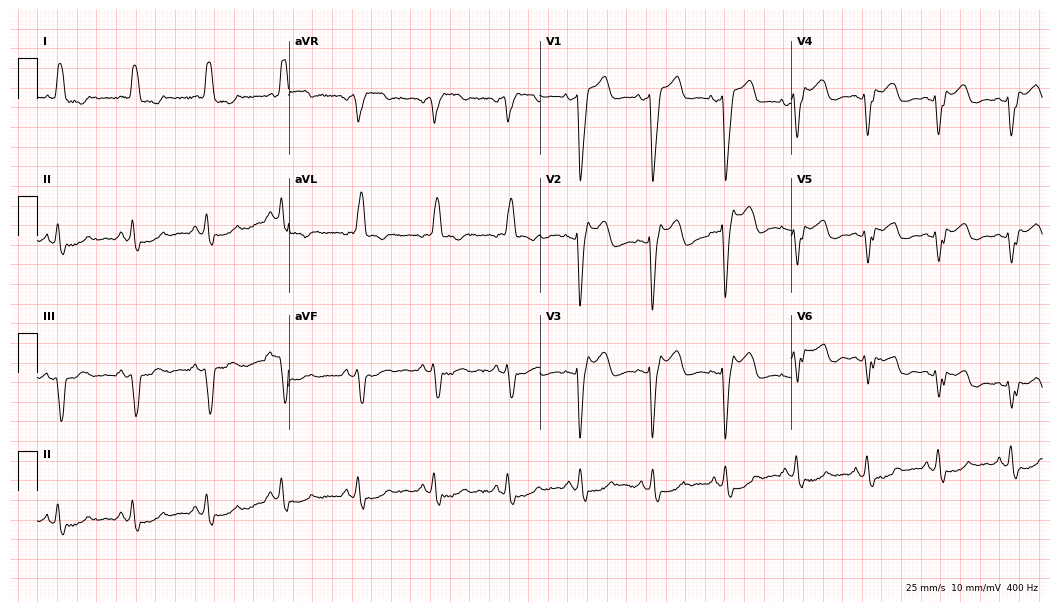
Electrocardiogram, a 75-year-old female patient. Interpretation includes left bundle branch block.